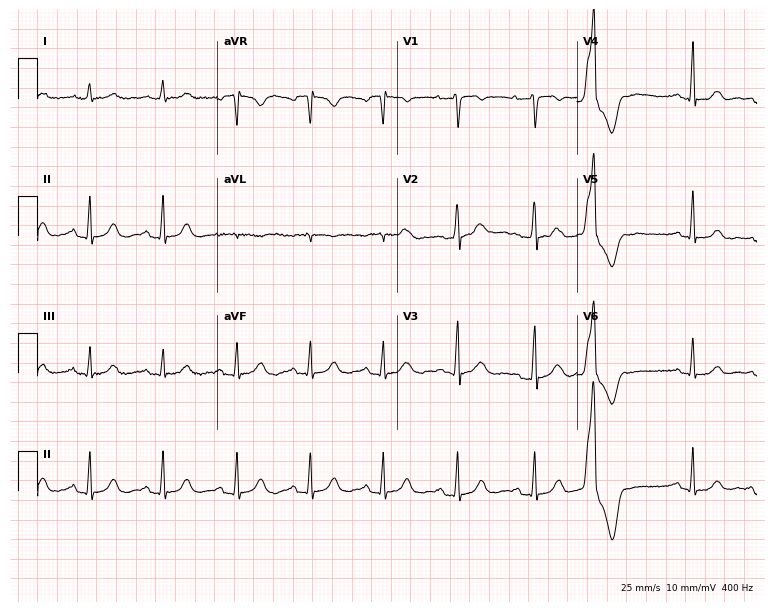
Resting 12-lead electrocardiogram (7.3-second recording at 400 Hz). Patient: a 23-year-old woman. None of these six findings is recorded: first-degree AV block, right bundle branch block, left bundle branch block, sinus bradycardia, atrial fibrillation, sinus tachycardia. Only these six findings were labelled.